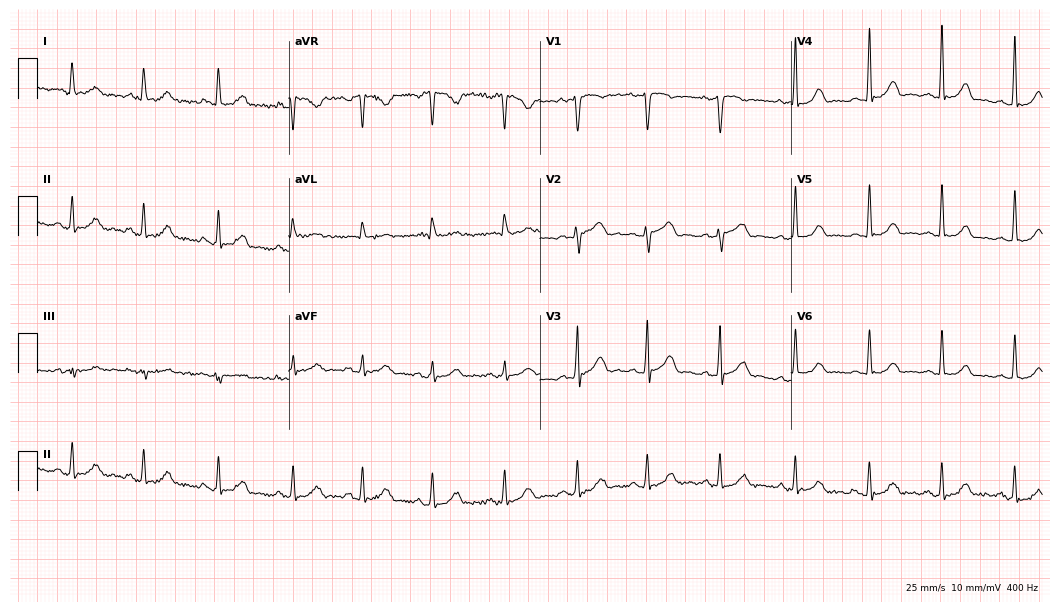
Electrocardiogram (10.2-second recording at 400 Hz), a 27-year-old female patient. Overall reading on record: normal ECG.